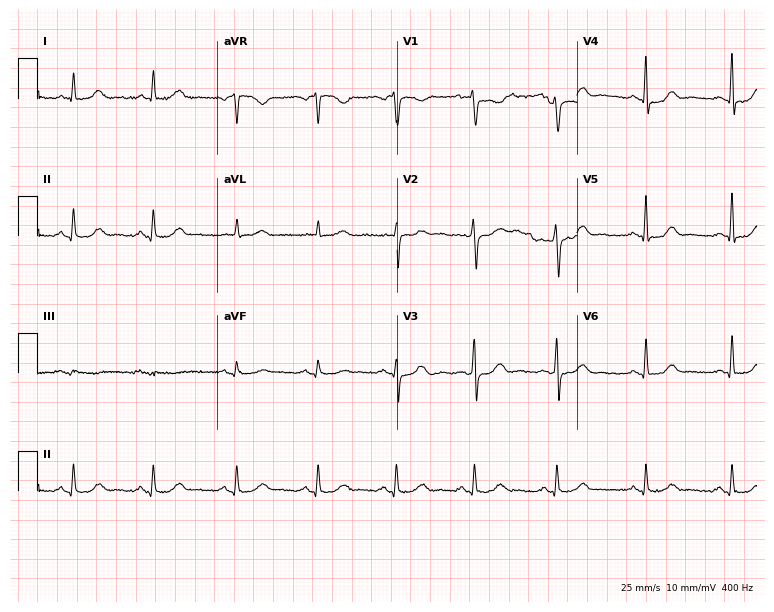
Standard 12-lead ECG recorded from a female patient, 43 years old (7.3-second recording at 400 Hz). None of these six findings is recorded: first-degree AV block, right bundle branch block (RBBB), left bundle branch block (LBBB), sinus bradycardia, atrial fibrillation (AF), sinus tachycardia. Only these six findings were labelled.